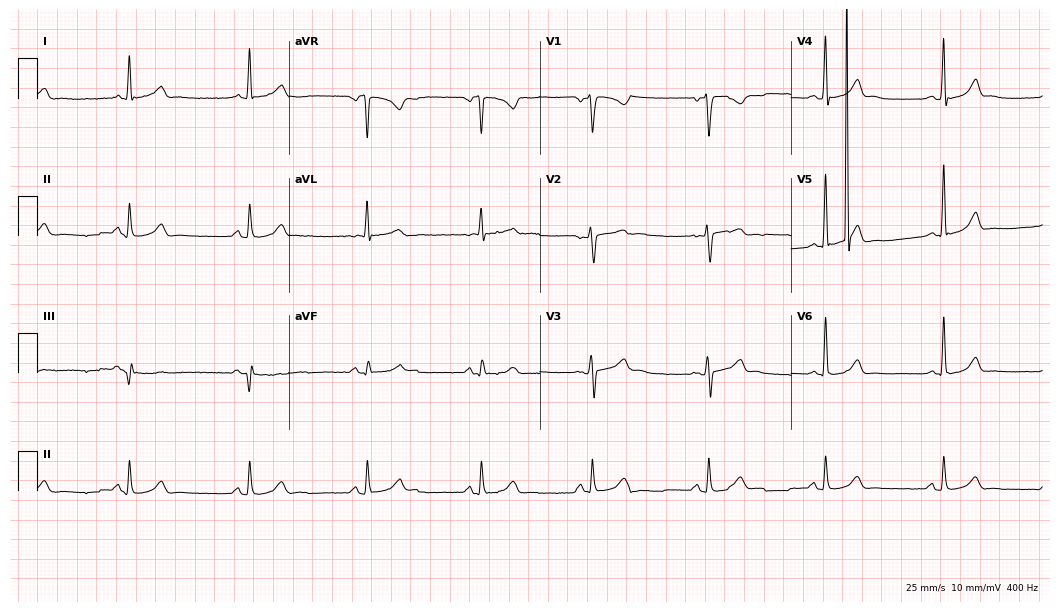
Resting 12-lead electrocardiogram (10.2-second recording at 400 Hz). Patient: a woman, 33 years old. None of these six findings is recorded: first-degree AV block, right bundle branch block (RBBB), left bundle branch block (LBBB), sinus bradycardia, atrial fibrillation (AF), sinus tachycardia.